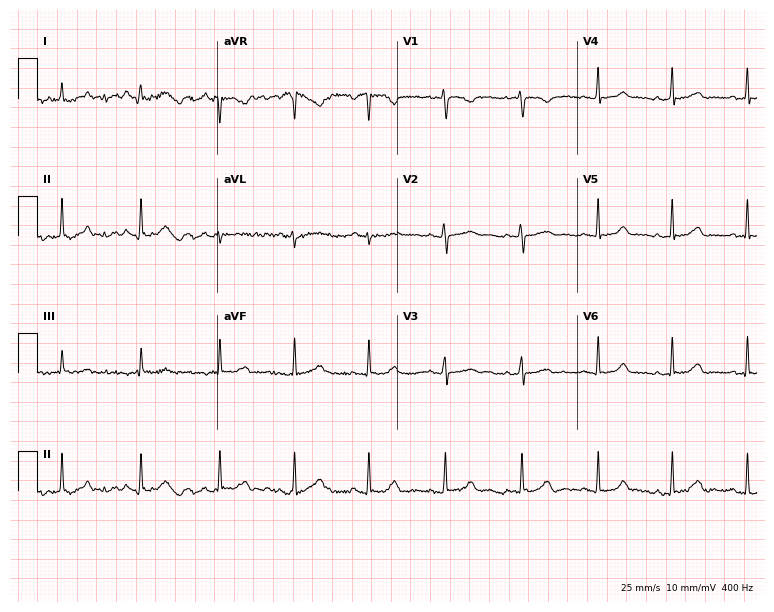
ECG — a female, 27 years old. Screened for six findings — first-degree AV block, right bundle branch block, left bundle branch block, sinus bradycardia, atrial fibrillation, sinus tachycardia — none is recorded.